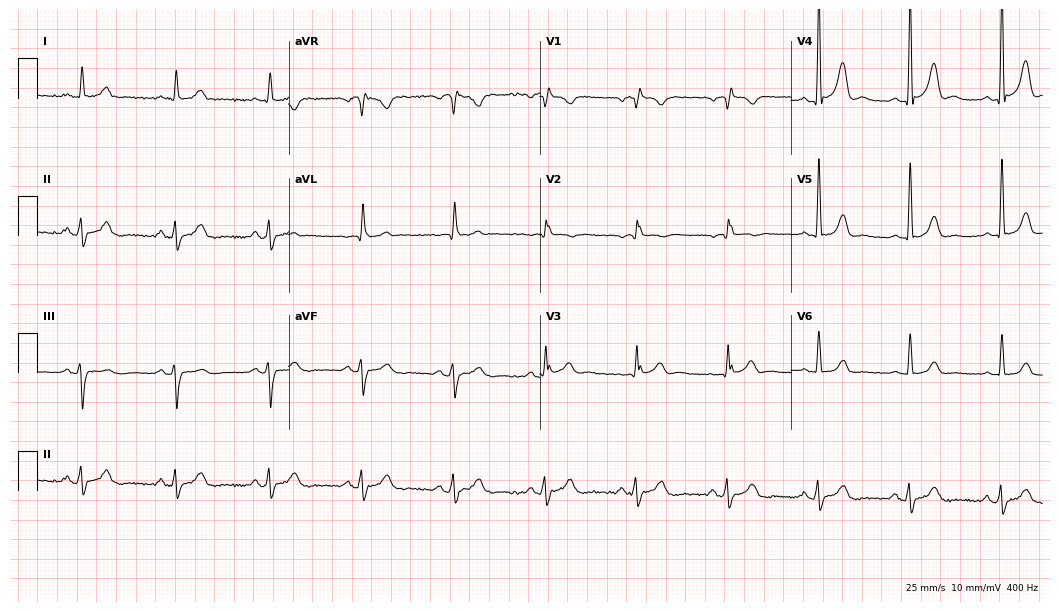
12-lead ECG (10.2-second recording at 400 Hz) from a 62-year-old man. Screened for six findings — first-degree AV block, right bundle branch block, left bundle branch block, sinus bradycardia, atrial fibrillation, sinus tachycardia — none is recorded. Other findings, if any, are not listed.